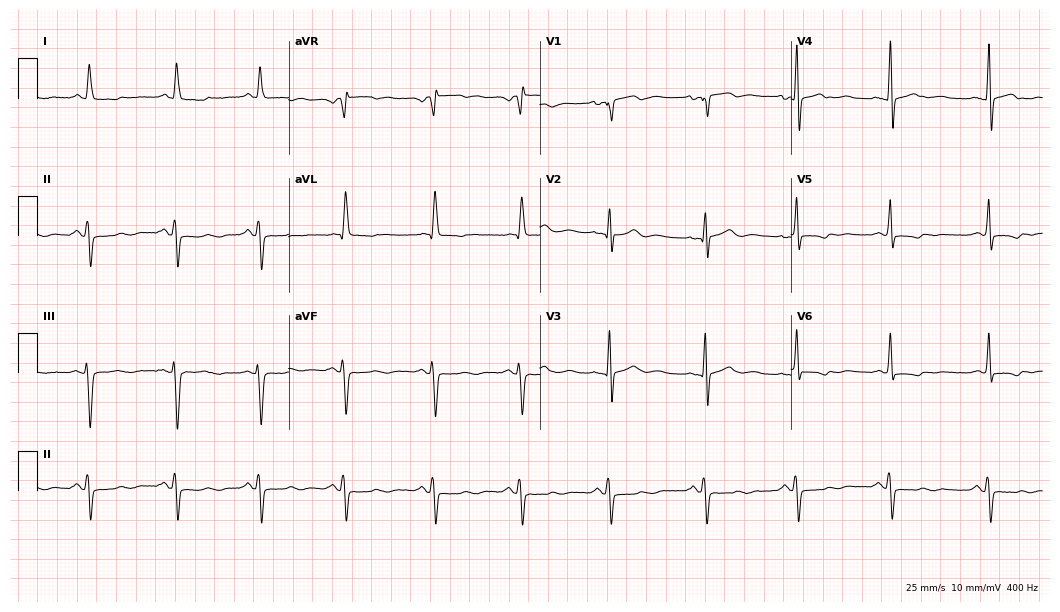
12-lead ECG from a woman, 55 years old (10.2-second recording at 400 Hz). No first-degree AV block, right bundle branch block, left bundle branch block, sinus bradycardia, atrial fibrillation or sinus tachycardia recorded for this tracing.